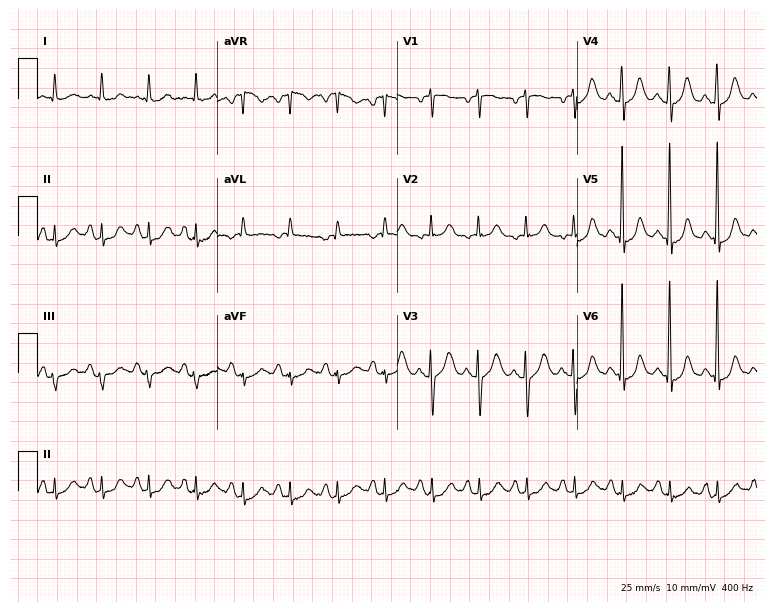
12-lead ECG (7.3-second recording at 400 Hz) from a 72-year-old female patient. Findings include sinus tachycardia (a sinus rate of 100 beats per minute or more).